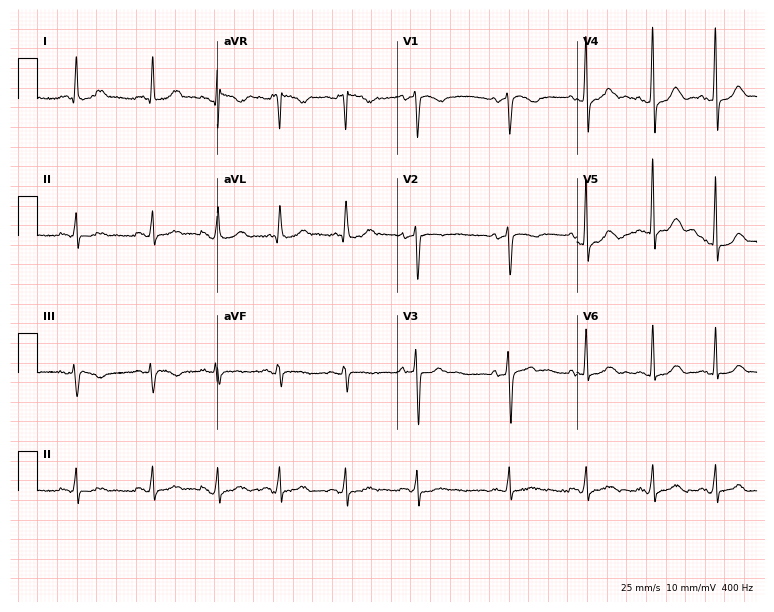
12-lead ECG (7.3-second recording at 400 Hz) from a female, 45 years old. Screened for six findings — first-degree AV block, right bundle branch block (RBBB), left bundle branch block (LBBB), sinus bradycardia, atrial fibrillation (AF), sinus tachycardia — none is recorded. Only these six findings were labelled.